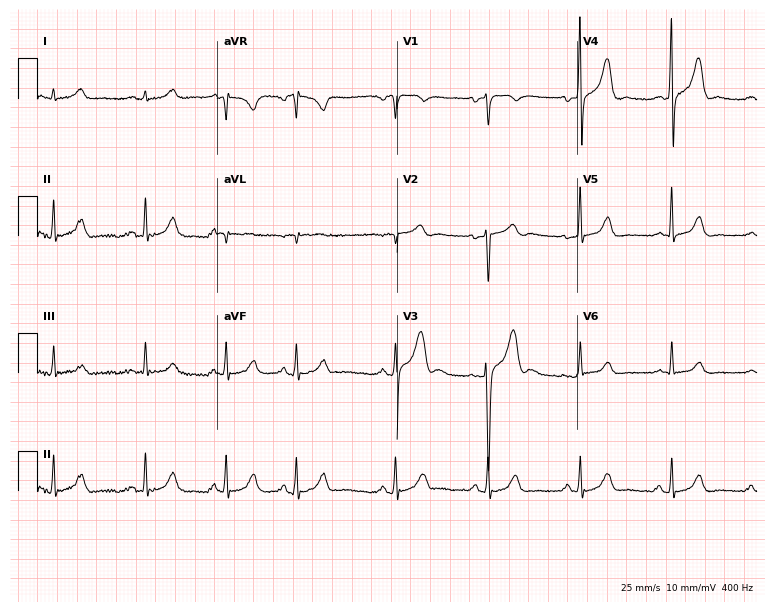
12-lead ECG from a male patient, 35 years old. Screened for six findings — first-degree AV block, right bundle branch block, left bundle branch block, sinus bradycardia, atrial fibrillation, sinus tachycardia — none is recorded.